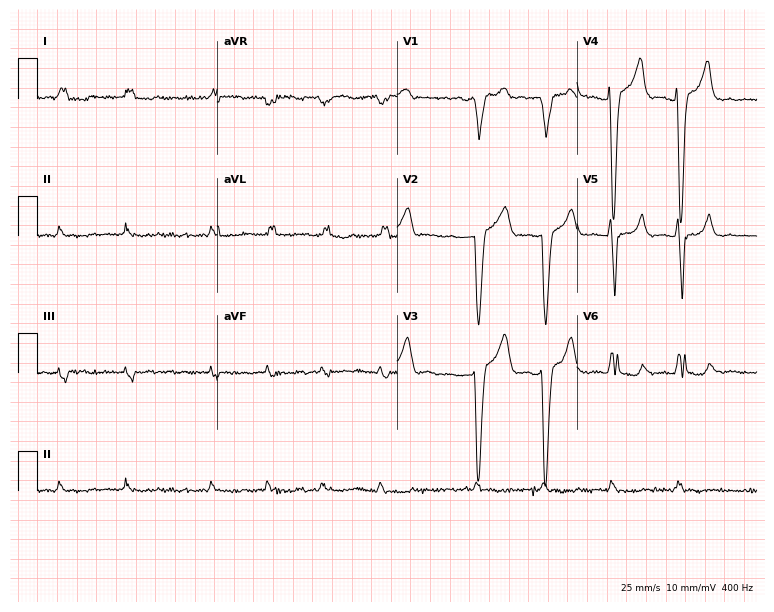
Electrocardiogram, a 78-year-old male patient. Interpretation includes left bundle branch block, atrial fibrillation.